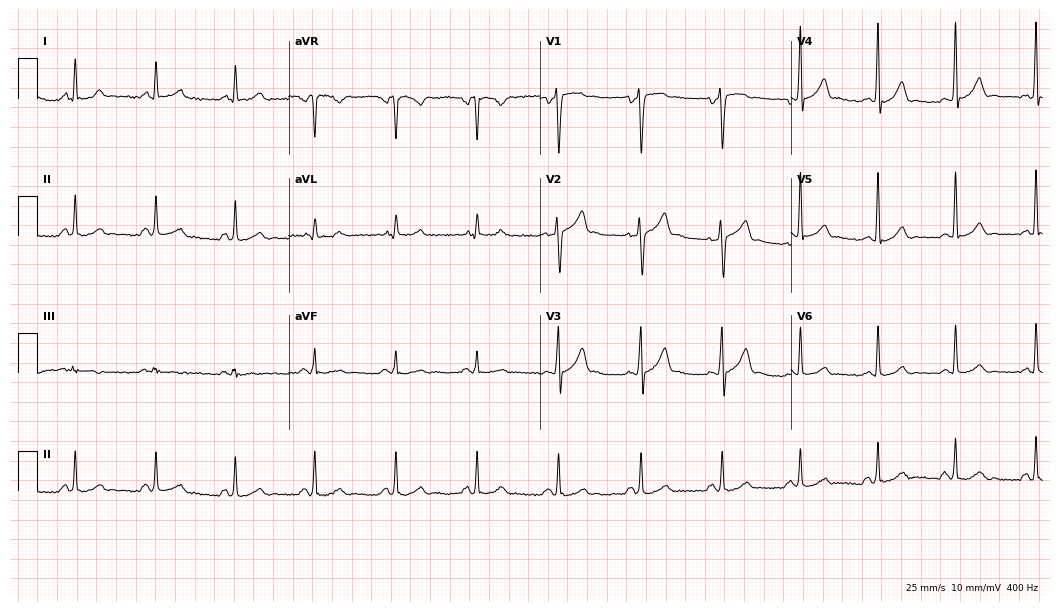
Resting 12-lead electrocardiogram. Patient: a 48-year-old male. Read as a normal ECG.